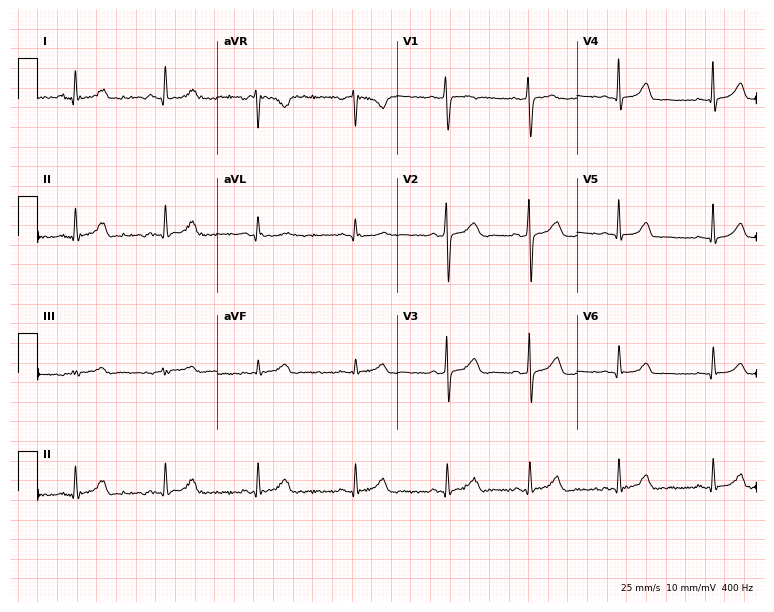
12-lead ECG from a 33-year-old female (7.3-second recording at 400 Hz). No first-degree AV block, right bundle branch block, left bundle branch block, sinus bradycardia, atrial fibrillation or sinus tachycardia recorded for this tracing. Only these six findings were labelled.